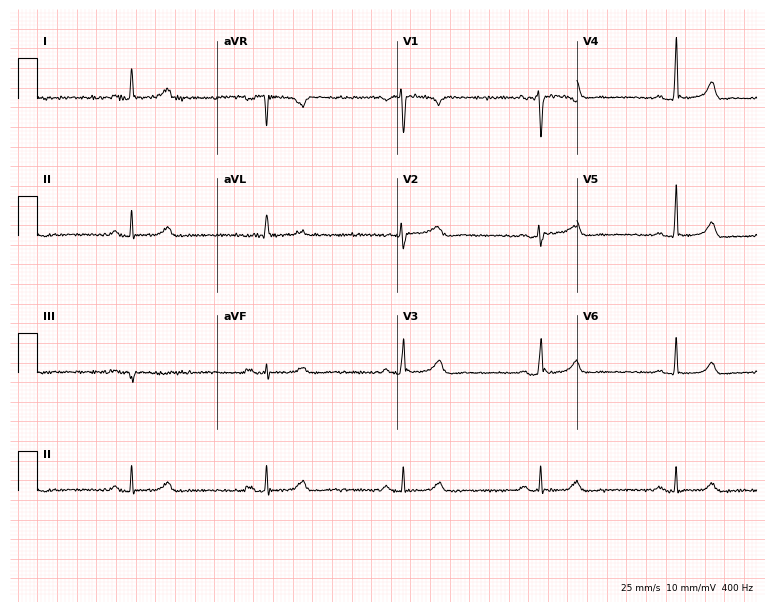
12-lead ECG from a 56-year-old woman (7.3-second recording at 400 Hz). Shows sinus bradycardia (a sinus rate of 50 beats per minute or less).